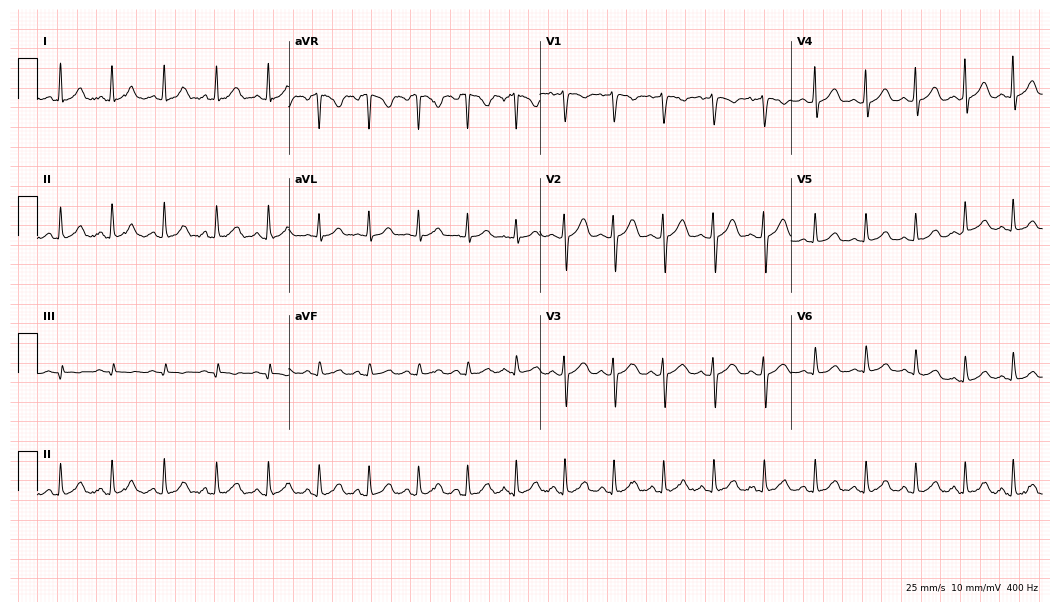
Standard 12-lead ECG recorded from a 19-year-old woman. The tracing shows sinus tachycardia (a sinus rate of 100 beats per minute or more).